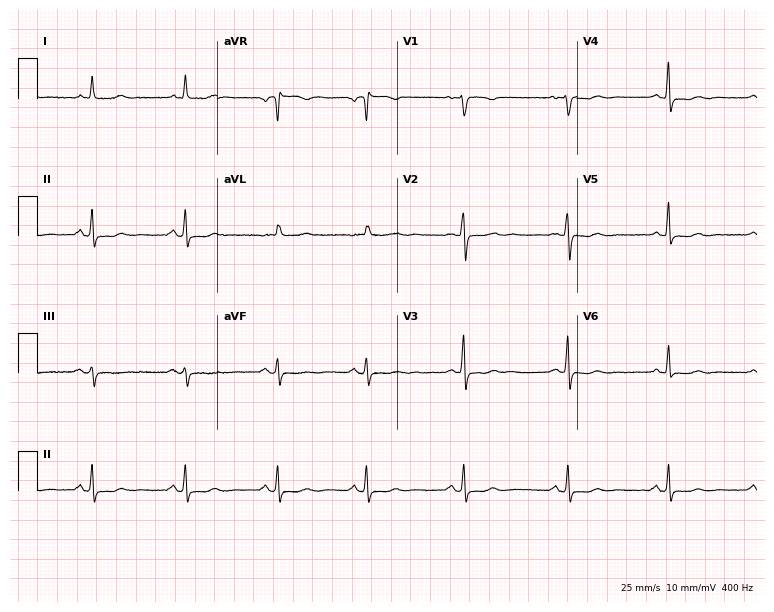
12-lead ECG (7.3-second recording at 400 Hz) from a female, 51 years old. Screened for six findings — first-degree AV block, right bundle branch block, left bundle branch block, sinus bradycardia, atrial fibrillation, sinus tachycardia — none is recorded.